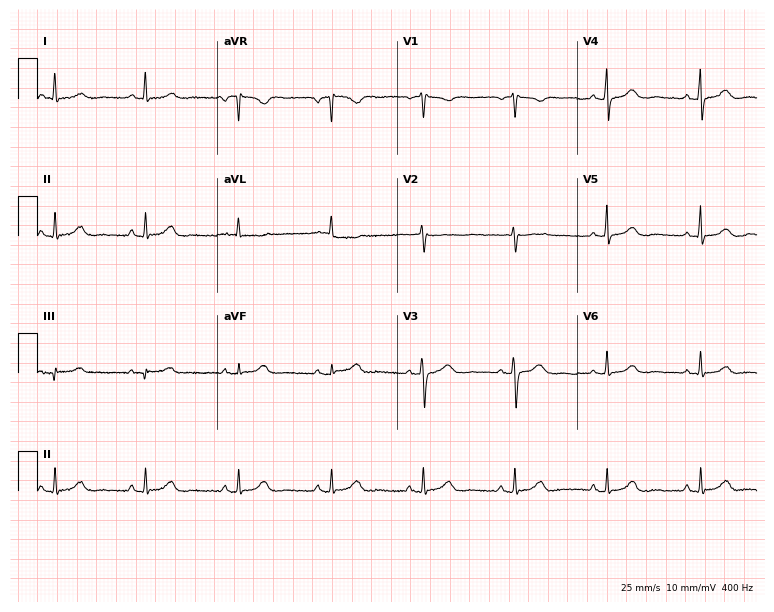
Resting 12-lead electrocardiogram. Patient: a 64-year-old female. Read as a normal ECG.